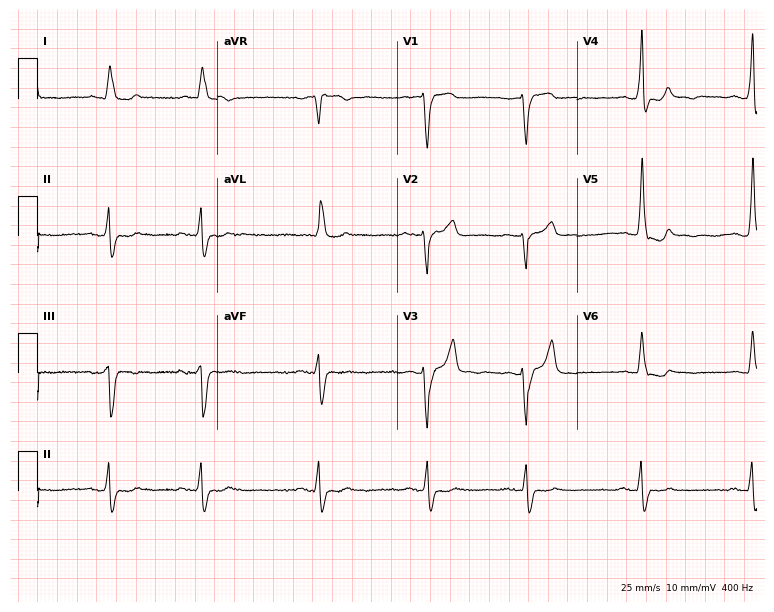
12-lead ECG (7.3-second recording at 400 Hz) from a 73-year-old woman. Findings include left bundle branch block.